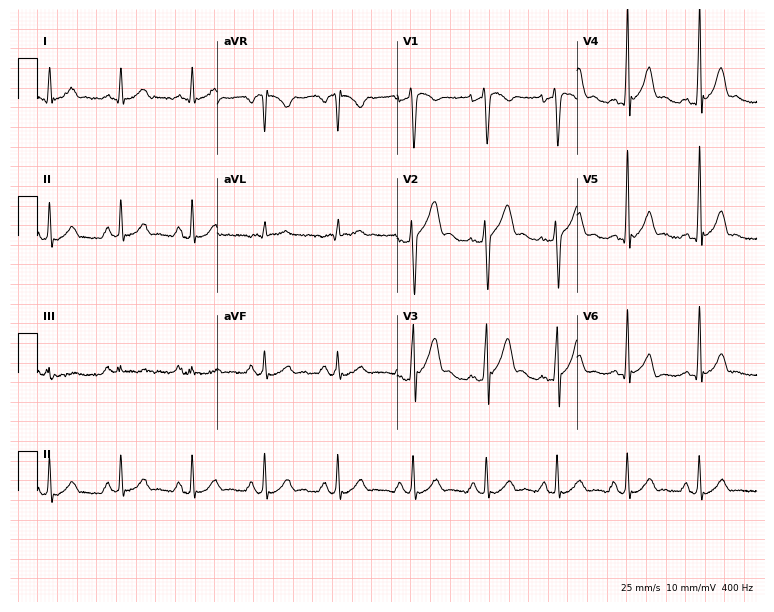
Standard 12-lead ECG recorded from a 32-year-old male patient (7.3-second recording at 400 Hz). Read as a normal ECG.